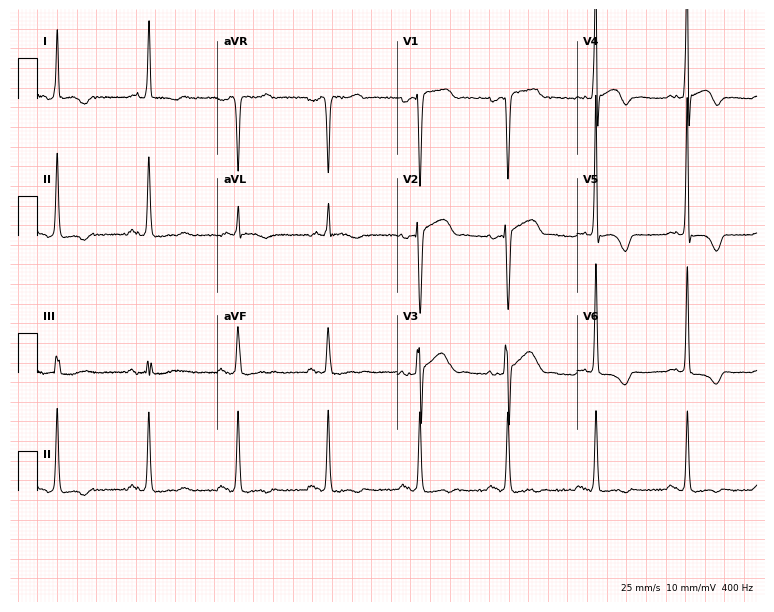
ECG — a 59-year-old woman. Screened for six findings — first-degree AV block, right bundle branch block, left bundle branch block, sinus bradycardia, atrial fibrillation, sinus tachycardia — none is recorded. Other findings, if any, are not listed.